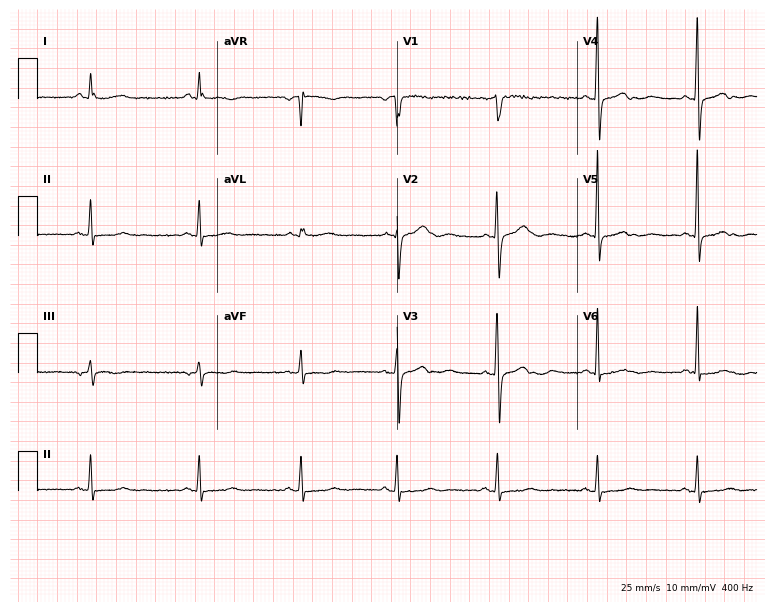
12-lead ECG from a 74-year-old female. No first-degree AV block, right bundle branch block, left bundle branch block, sinus bradycardia, atrial fibrillation or sinus tachycardia recorded for this tracing.